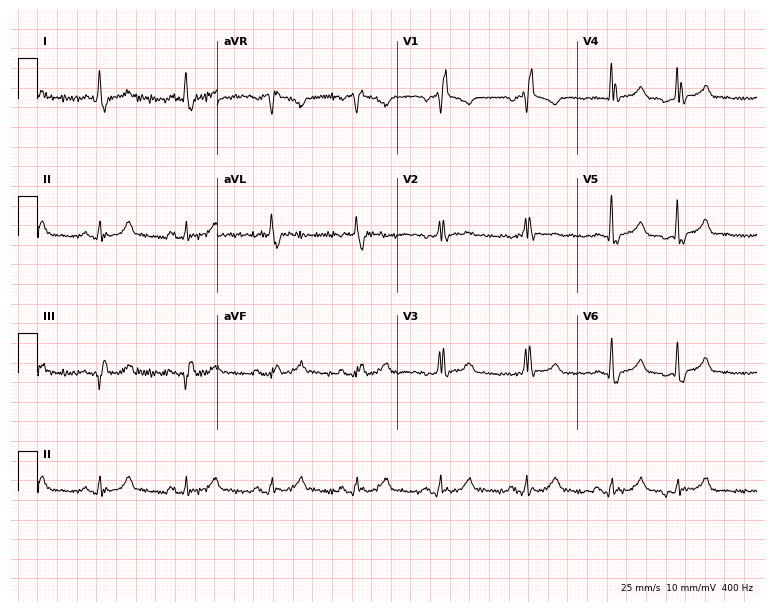
Standard 12-lead ECG recorded from a 77-year-old man. The tracing shows right bundle branch block (RBBB).